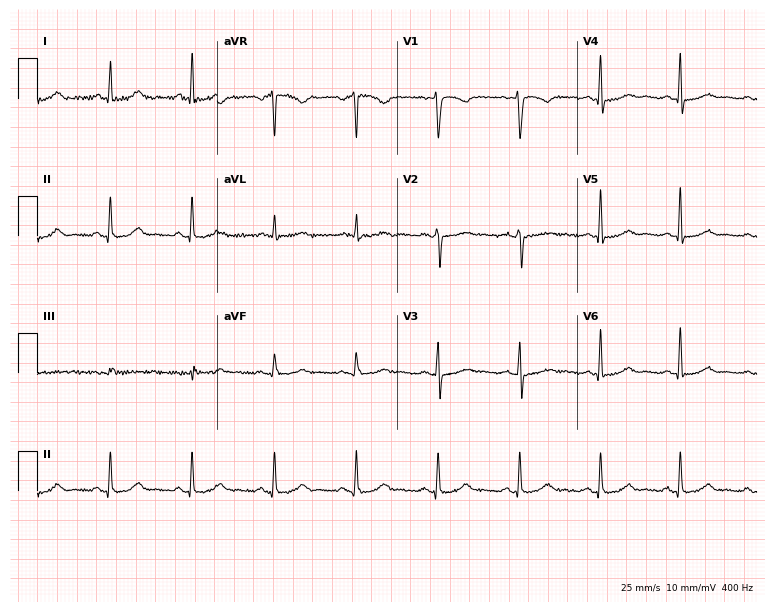
12-lead ECG from a 46-year-old female. No first-degree AV block, right bundle branch block, left bundle branch block, sinus bradycardia, atrial fibrillation or sinus tachycardia recorded for this tracing. Findings outside these six are not listed.